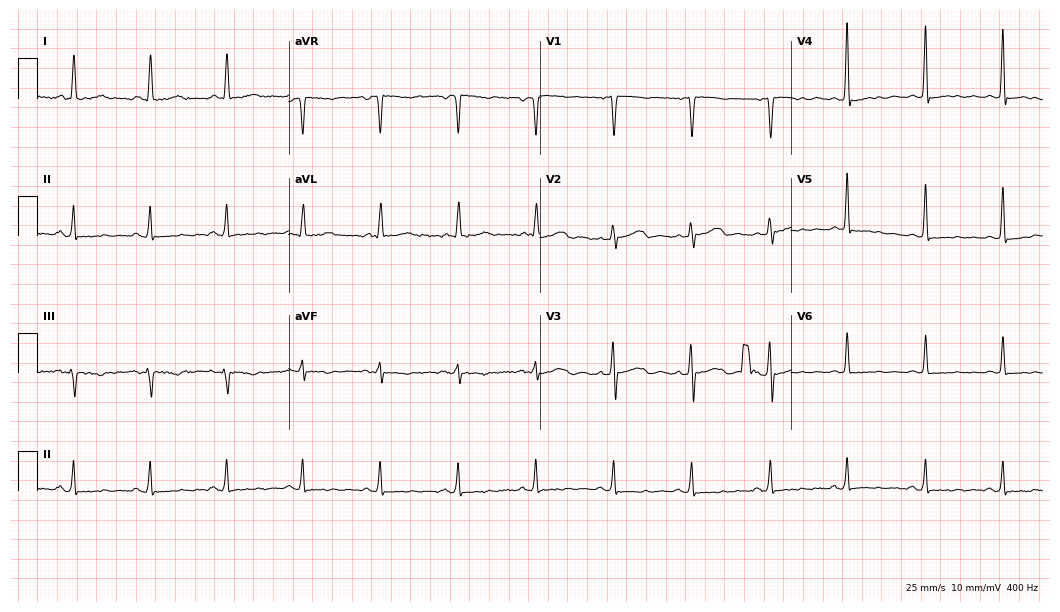
Electrocardiogram (10.2-second recording at 400 Hz), a 58-year-old female. Of the six screened findings (first-degree AV block, right bundle branch block (RBBB), left bundle branch block (LBBB), sinus bradycardia, atrial fibrillation (AF), sinus tachycardia), none is recorded.